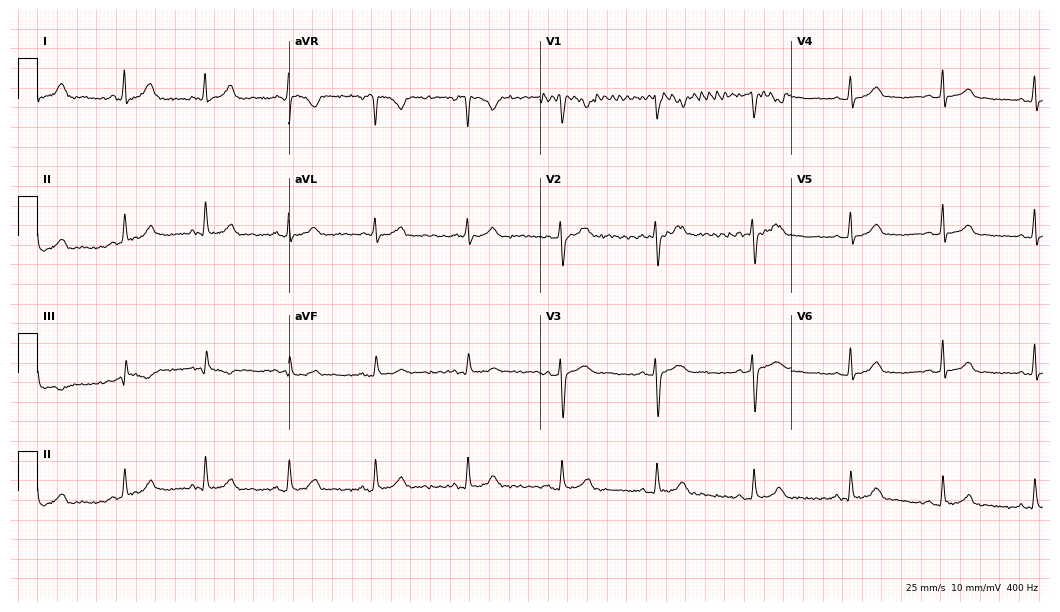
Resting 12-lead electrocardiogram (10.2-second recording at 400 Hz). Patient: a 34-year-old woman. Read as a normal ECG.